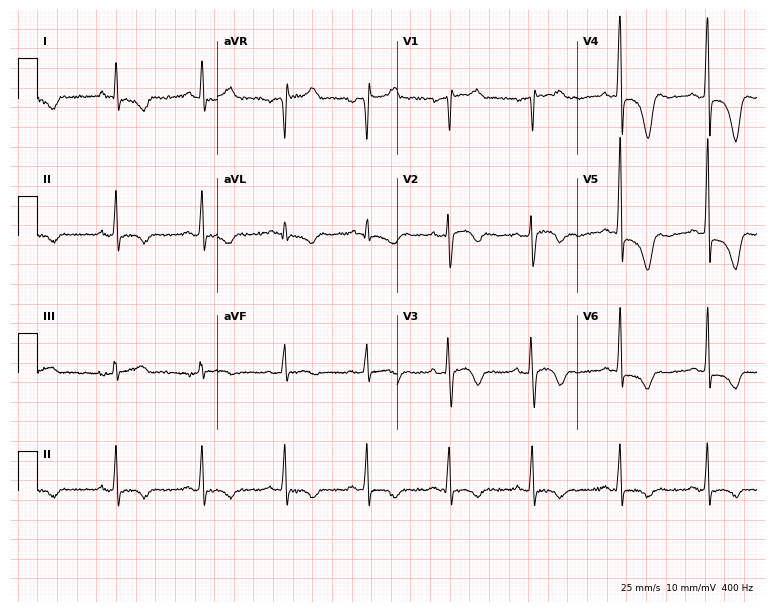
Electrocardiogram (7.3-second recording at 400 Hz), a 54-year-old male. Overall reading on record: normal ECG.